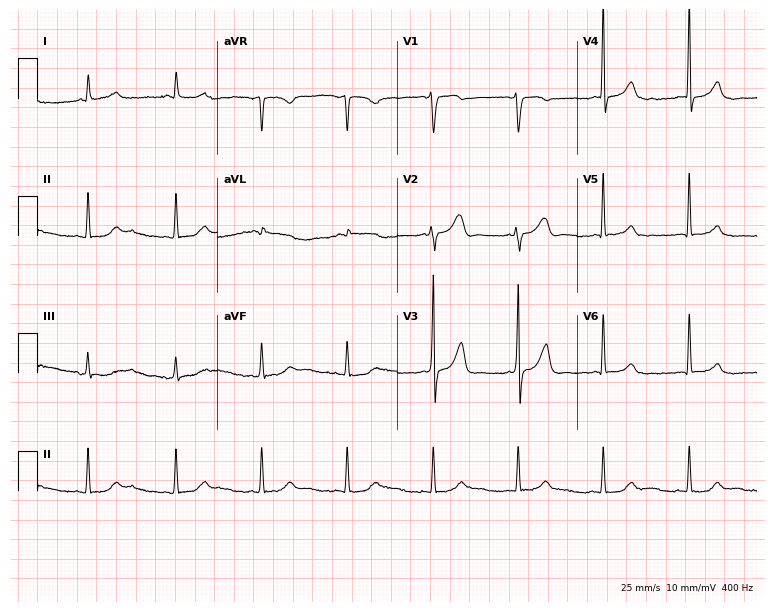
Resting 12-lead electrocardiogram (7.3-second recording at 400 Hz). Patient: a 62-year-old male. None of these six findings is recorded: first-degree AV block, right bundle branch block, left bundle branch block, sinus bradycardia, atrial fibrillation, sinus tachycardia.